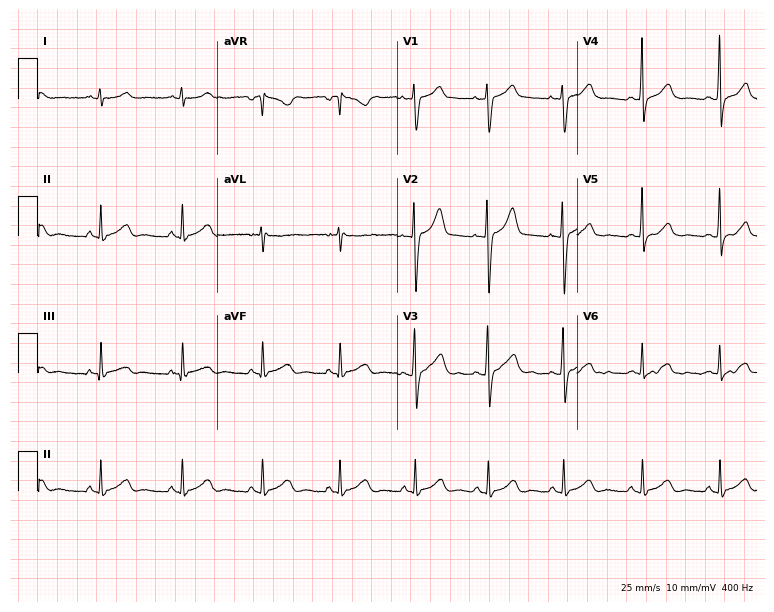
ECG — a 28-year-old male patient. Labelled as a normal ECG.